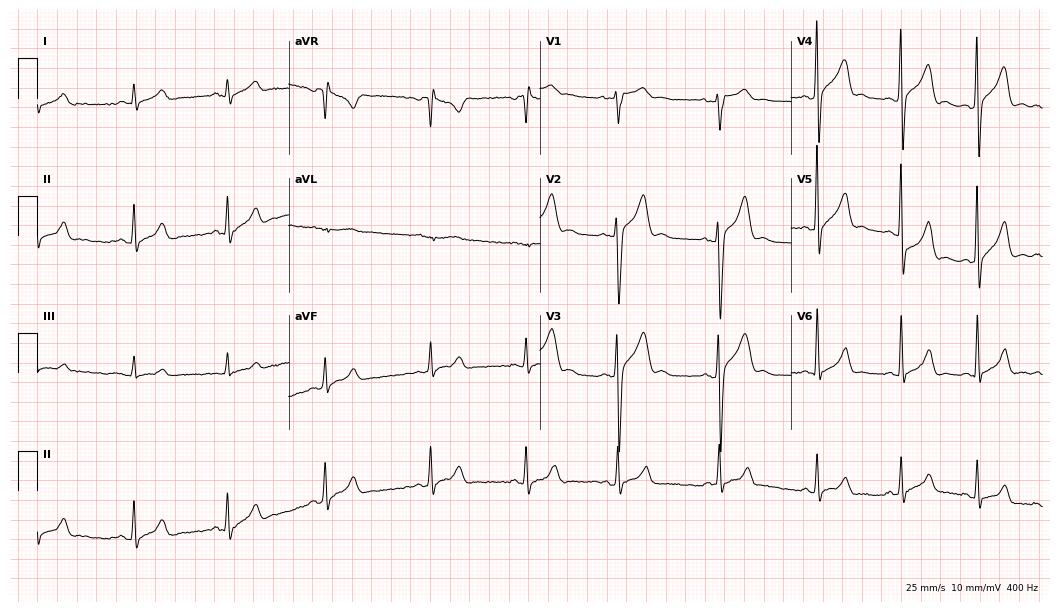
ECG — a 25-year-old male. Labelled as a normal ECG.